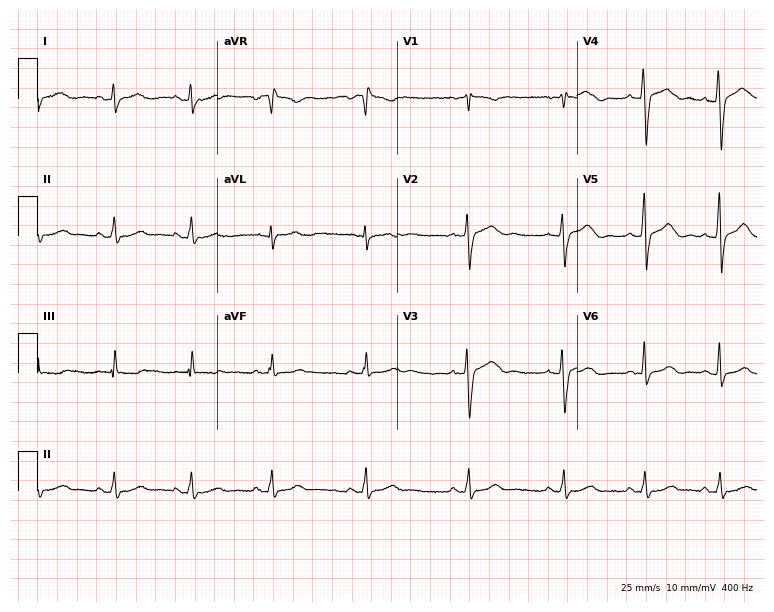
Resting 12-lead electrocardiogram (7.3-second recording at 400 Hz). Patient: a female, 25 years old. None of these six findings is recorded: first-degree AV block, right bundle branch block, left bundle branch block, sinus bradycardia, atrial fibrillation, sinus tachycardia. Findings outside these six are not listed.